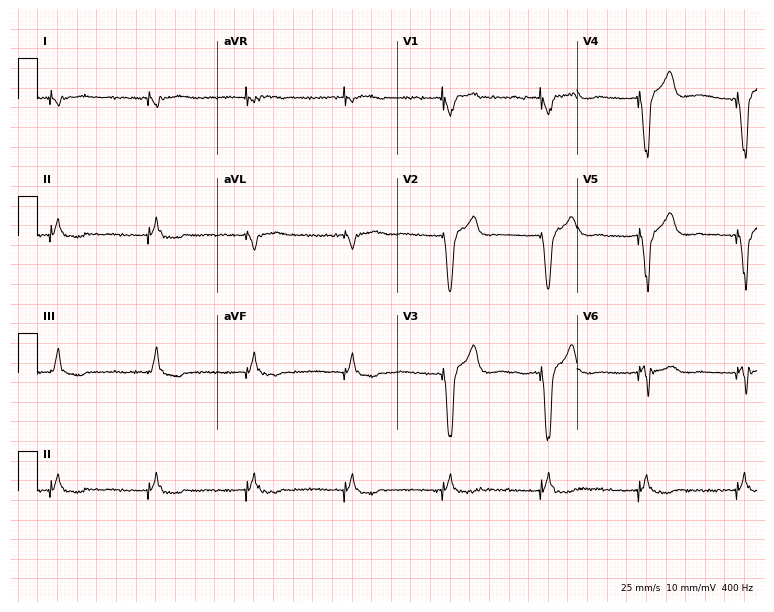
Resting 12-lead electrocardiogram. Patient: an 80-year-old male. None of these six findings is recorded: first-degree AV block, right bundle branch block, left bundle branch block, sinus bradycardia, atrial fibrillation, sinus tachycardia. Only these six findings were labelled.